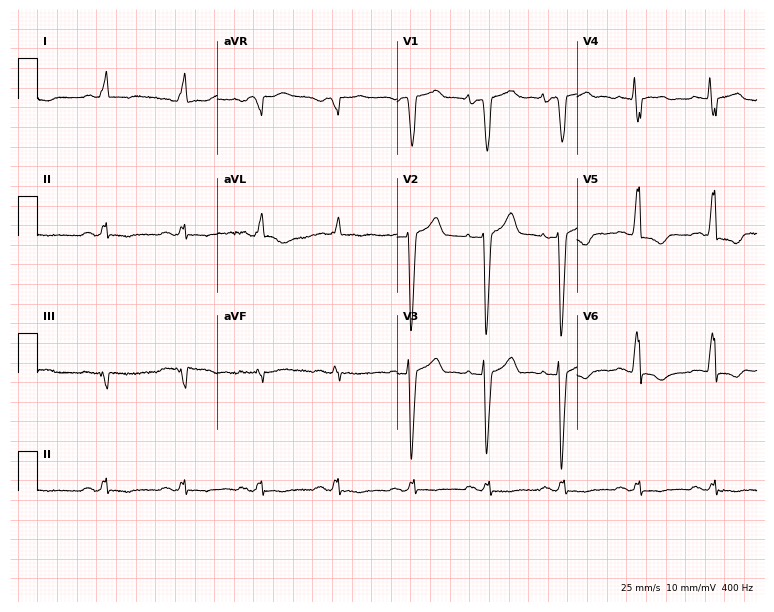
ECG — a 44-year-old male. Screened for six findings — first-degree AV block, right bundle branch block, left bundle branch block, sinus bradycardia, atrial fibrillation, sinus tachycardia — none is recorded. Only these six findings were labelled.